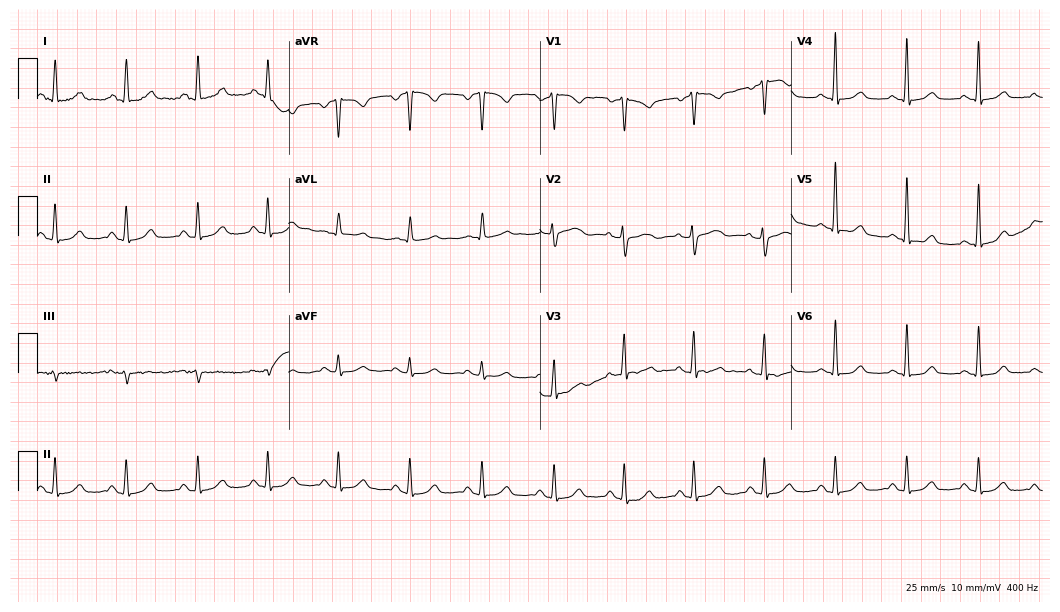
Standard 12-lead ECG recorded from a female, 56 years old (10.2-second recording at 400 Hz). Read as a normal ECG.